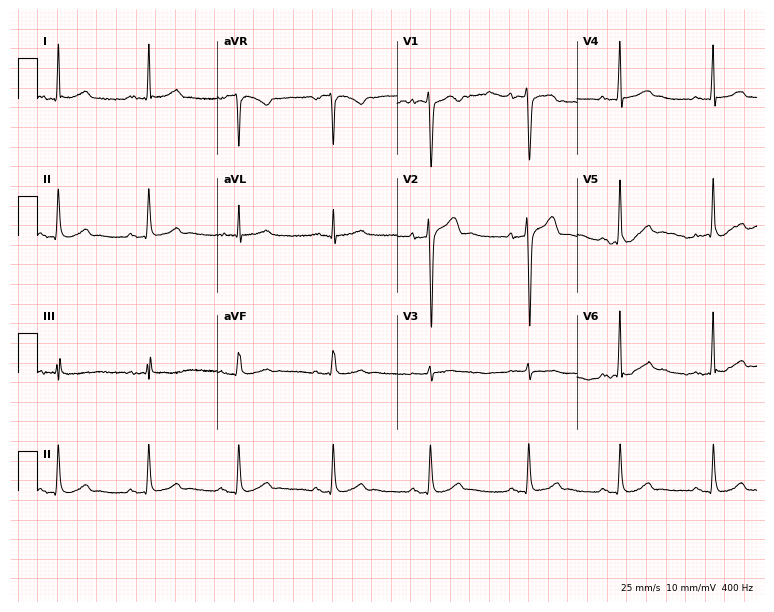
Standard 12-lead ECG recorded from a male, 42 years old (7.3-second recording at 400 Hz). Read as a normal ECG.